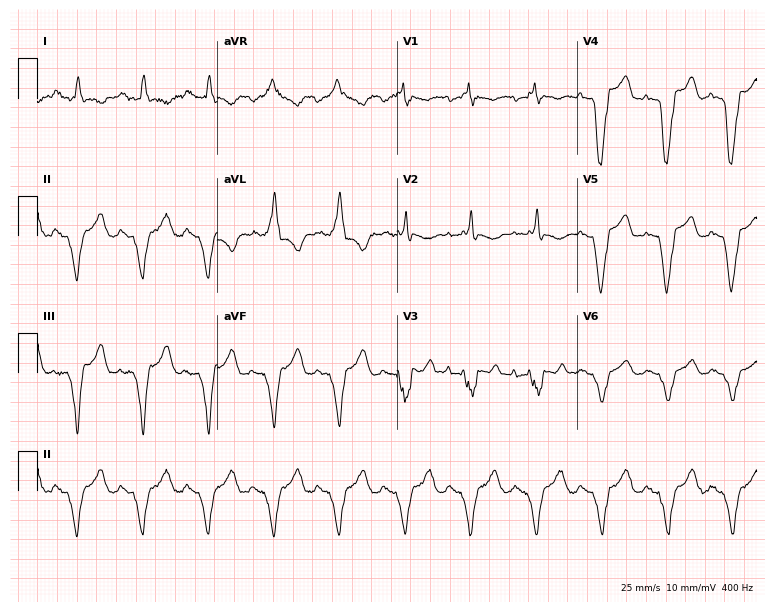
Standard 12-lead ECG recorded from a 40-year-old male patient. None of these six findings is recorded: first-degree AV block, right bundle branch block, left bundle branch block, sinus bradycardia, atrial fibrillation, sinus tachycardia.